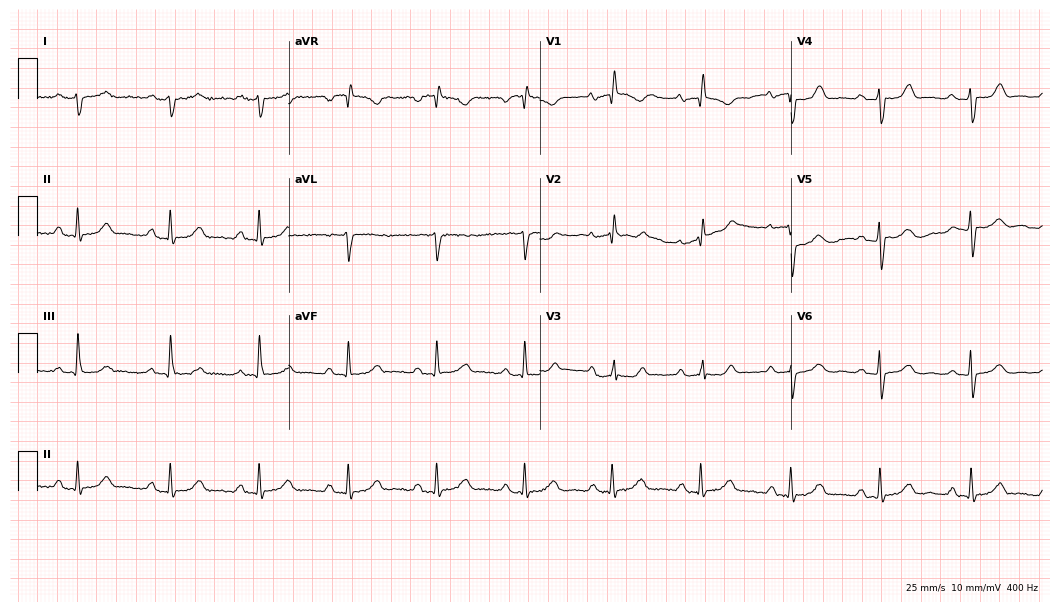
Electrocardiogram (10.2-second recording at 400 Hz), a female patient, 45 years old. Interpretation includes first-degree AV block.